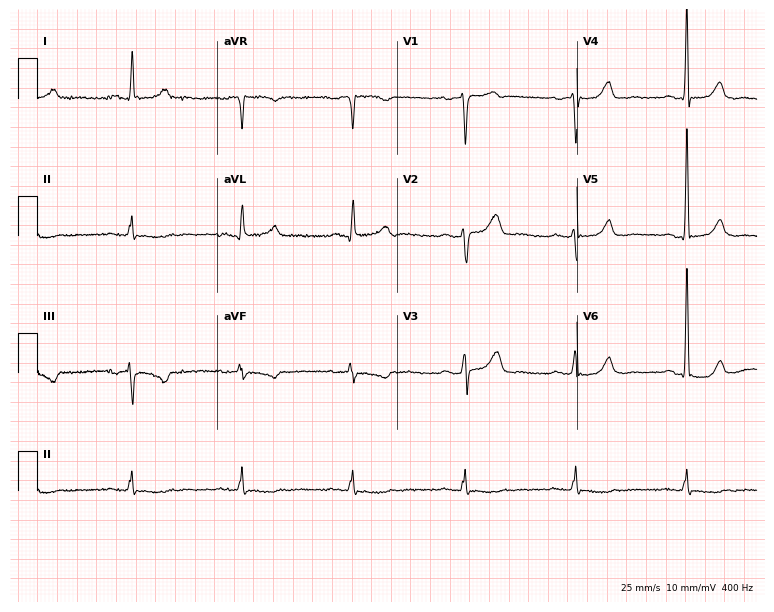
12-lead ECG from a male patient, 70 years old. Recorded interpretation: within normal limits.